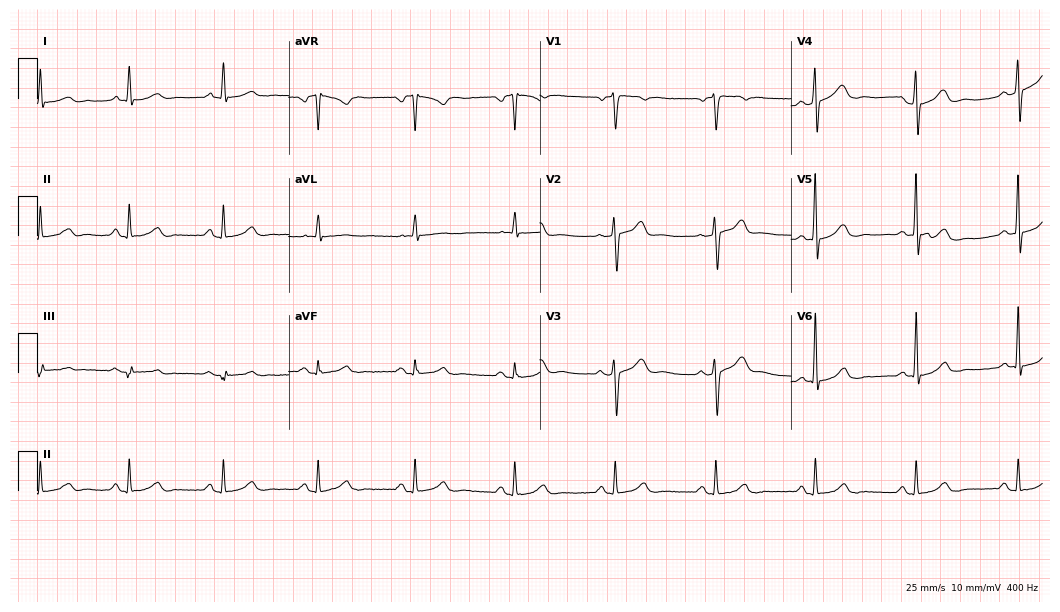
Electrocardiogram, a male, 69 years old. Of the six screened findings (first-degree AV block, right bundle branch block, left bundle branch block, sinus bradycardia, atrial fibrillation, sinus tachycardia), none is recorded. Only these six findings were labelled.